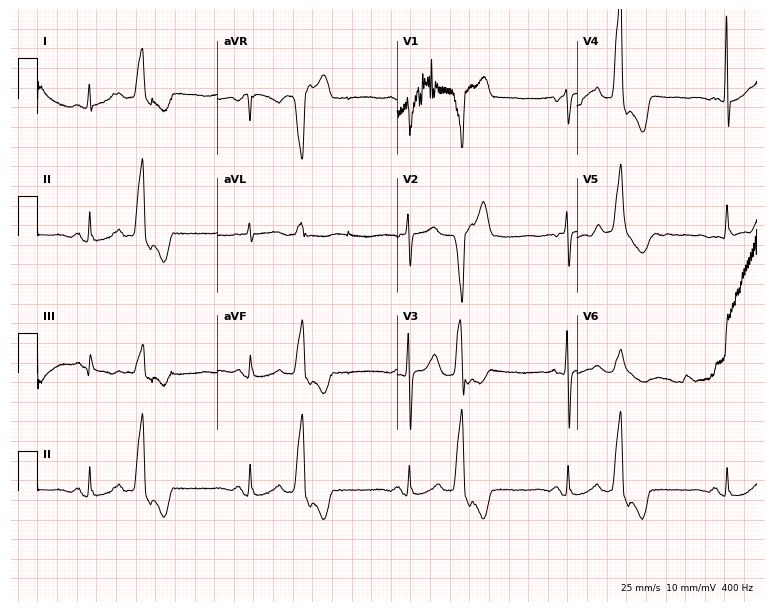
Standard 12-lead ECG recorded from a 77-year-old man (7.3-second recording at 400 Hz). None of these six findings is recorded: first-degree AV block, right bundle branch block, left bundle branch block, sinus bradycardia, atrial fibrillation, sinus tachycardia.